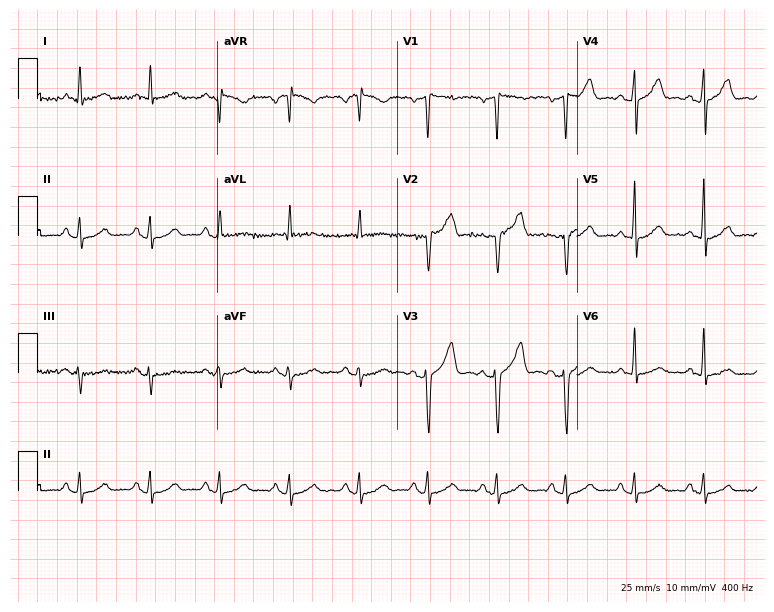
12-lead ECG from a 60-year-old man (7.3-second recording at 400 Hz). No first-degree AV block, right bundle branch block, left bundle branch block, sinus bradycardia, atrial fibrillation or sinus tachycardia recorded for this tracing.